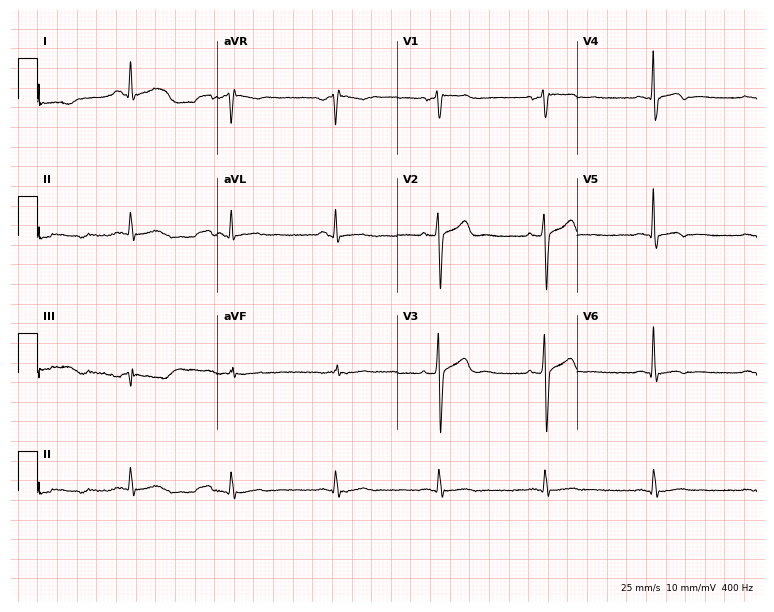
Resting 12-lead electrocardiogram (7.3-second recording at 400 Hz). Patient: a male, 34 years old. Read as a normal ECG.